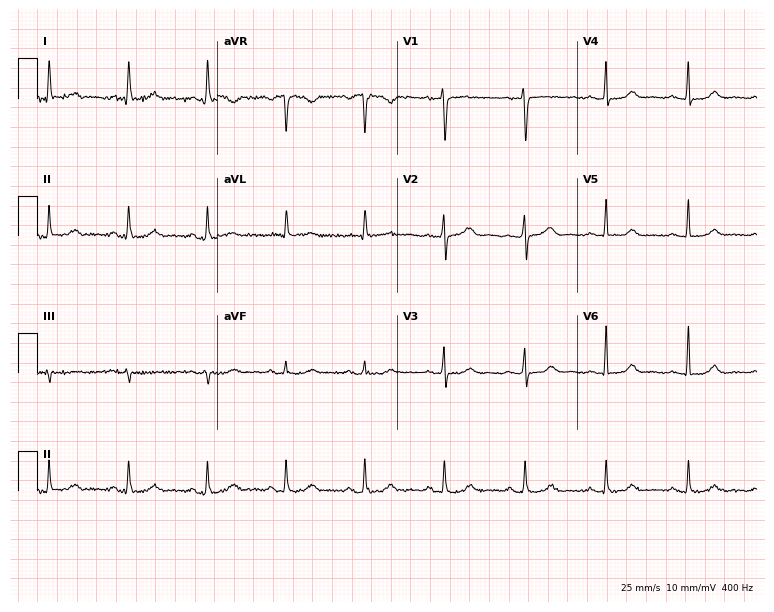
Resting 12-lead electrocardiogram. Patient: a 55-year-old female. Read as a normal ECG.